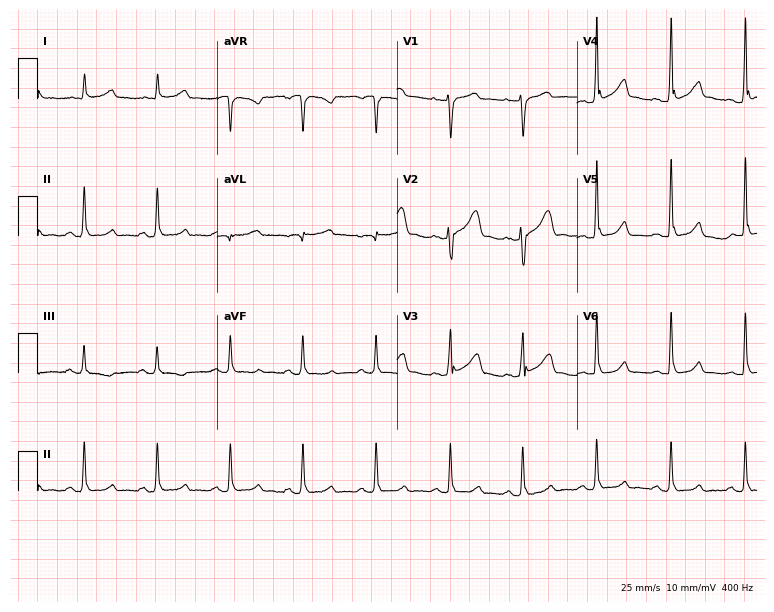
Standard 12-lead ECG recorded from a 40-year-old male. Read as a normal ECG.